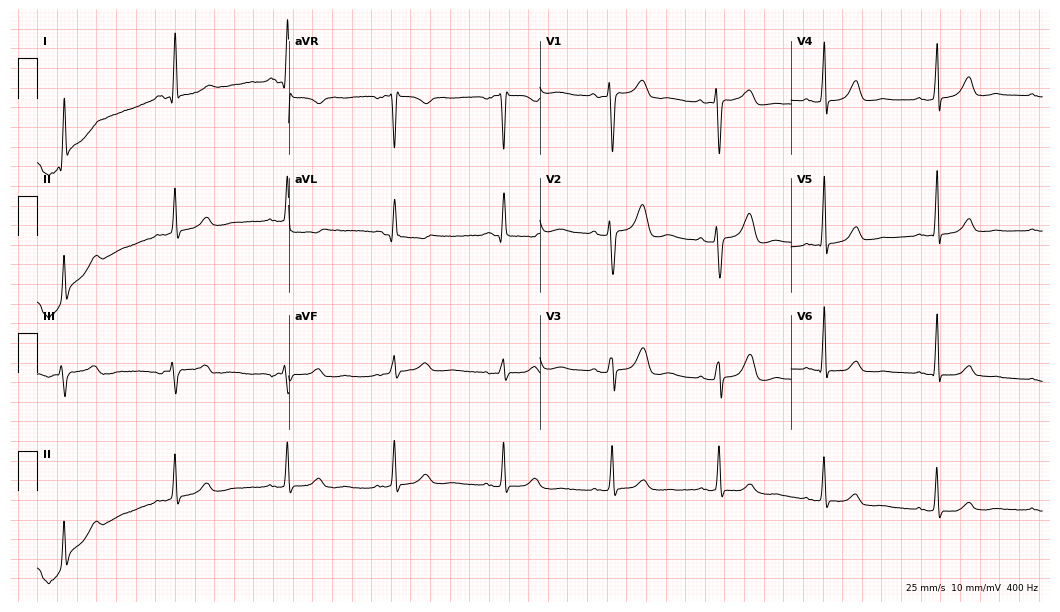
ECG — a woman, 58 years old. Labelled as a normal ECG.